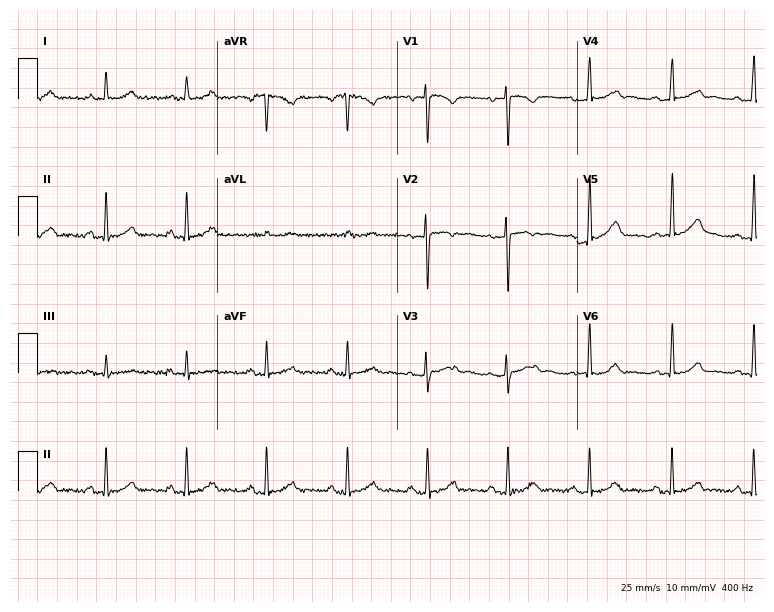
Resting 12-lead electrocardiogram. Patient: a woman, 34 years old. Read as a normal ECG.